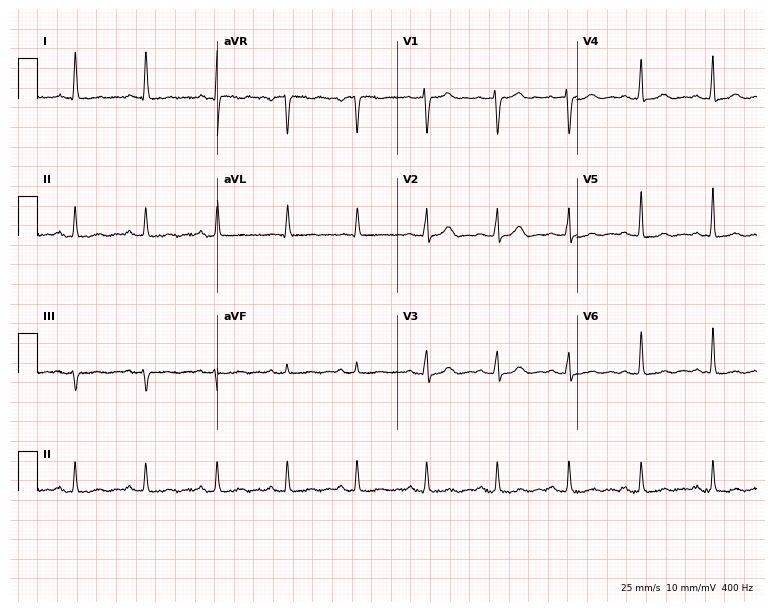
12-lead ECG from a woman, 66 years old. Recorded interpretation: within normal limits.